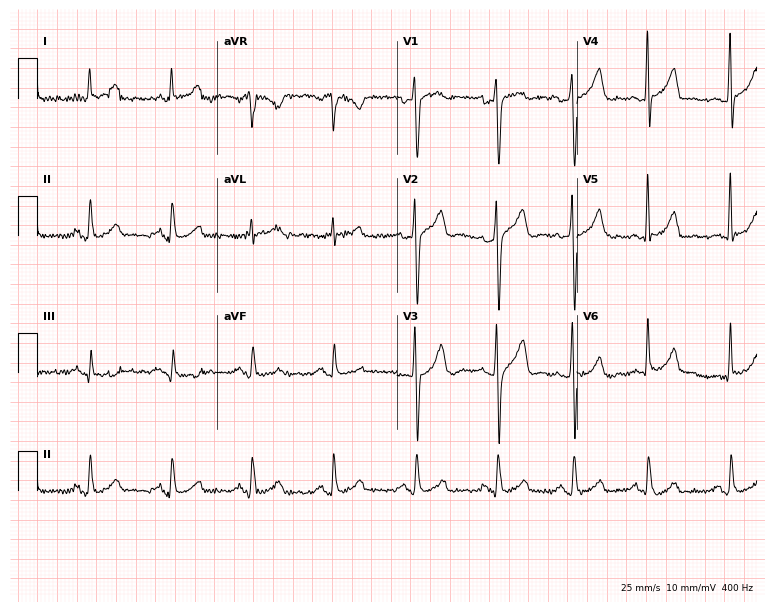
12-lead ECG from a male patient, 34 years old (7.3-second recording at 400 Hz). Recorded interpretation: within normal limits.